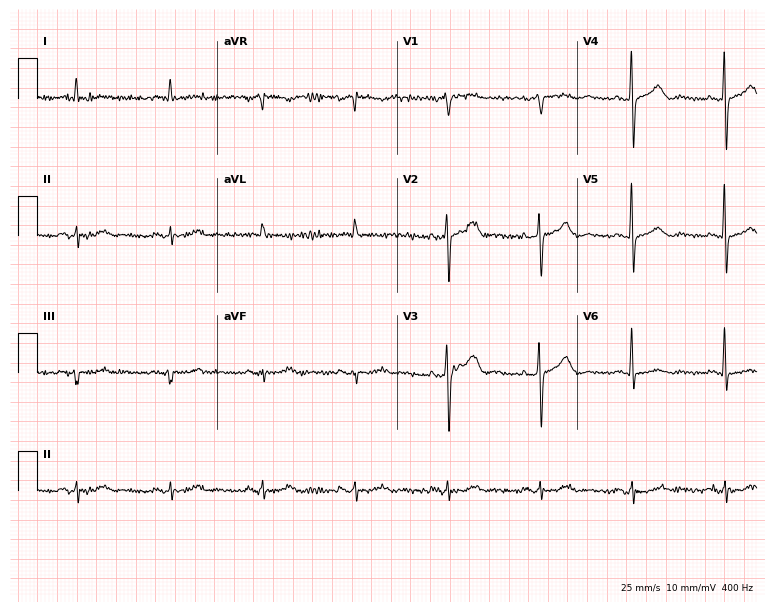
12-lead ECG from a 78-year-old male. Labelled as a normal ECG.